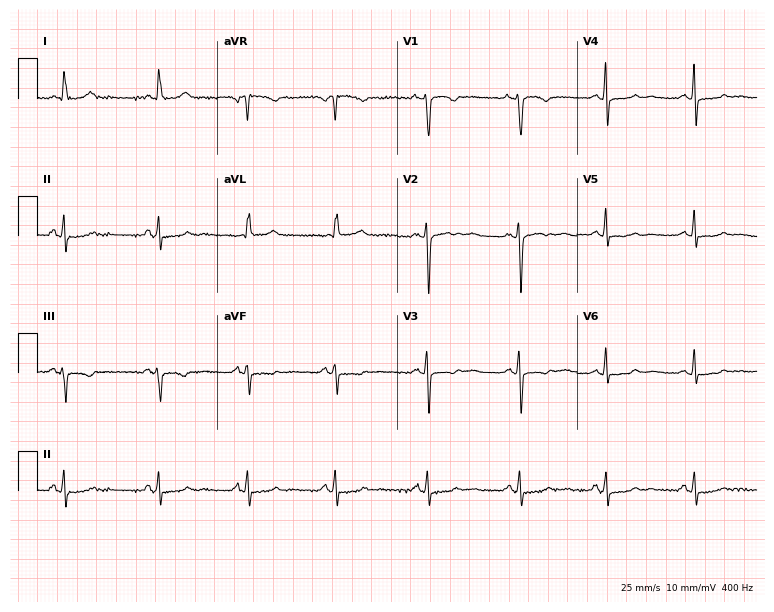
Standard 12-lead ECG recorded from a 69-year-old female patient (7.3-second recording at 400 Hz). None of these six findings is recorded: first-degree AV block, right bundle branch block (RBBB), left bundle branch block (LBBB), sinus bradycardia, atrial fibrillation (AF), sinus tachycardia. Other findings, if any, are not listed.